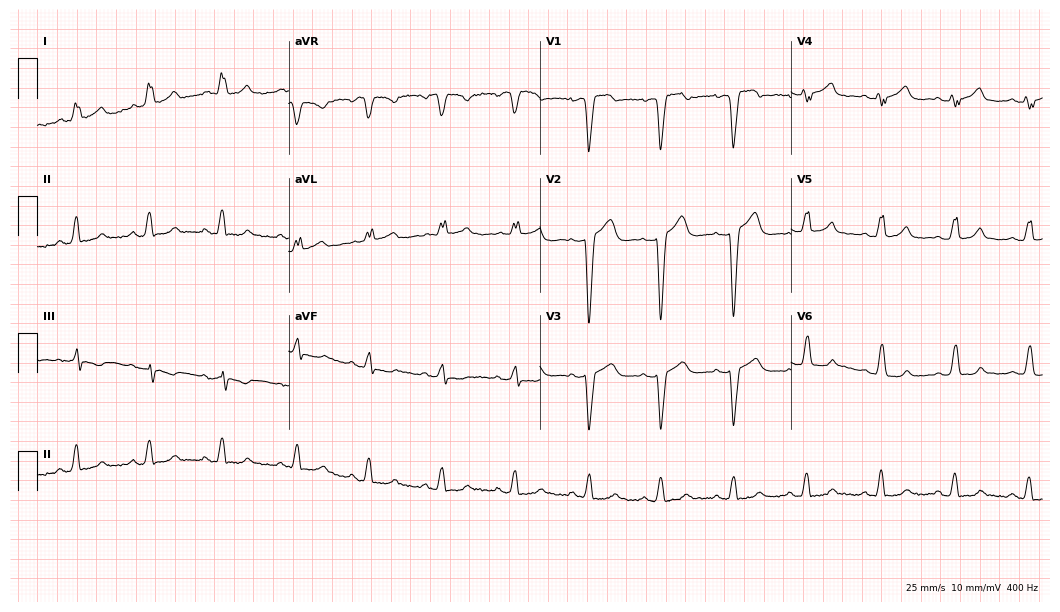
12-lead ECG from a 71-year-old woman. Findings include left bundle branch block.